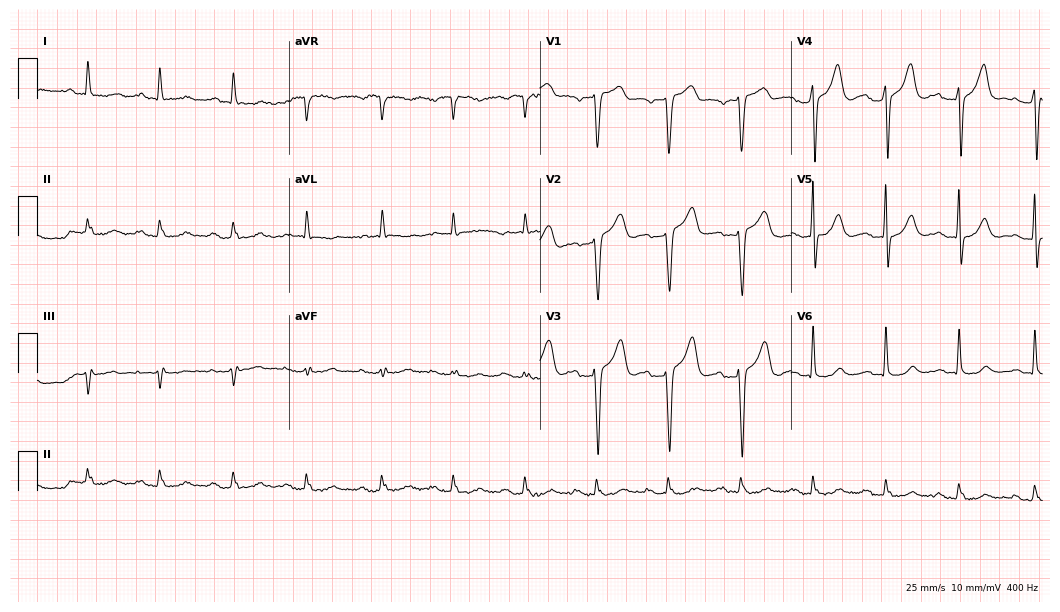
12-lead ECG (10.2-second recording at 400 Hz) from a 63-year-old man. Labelled as a normal ECG.